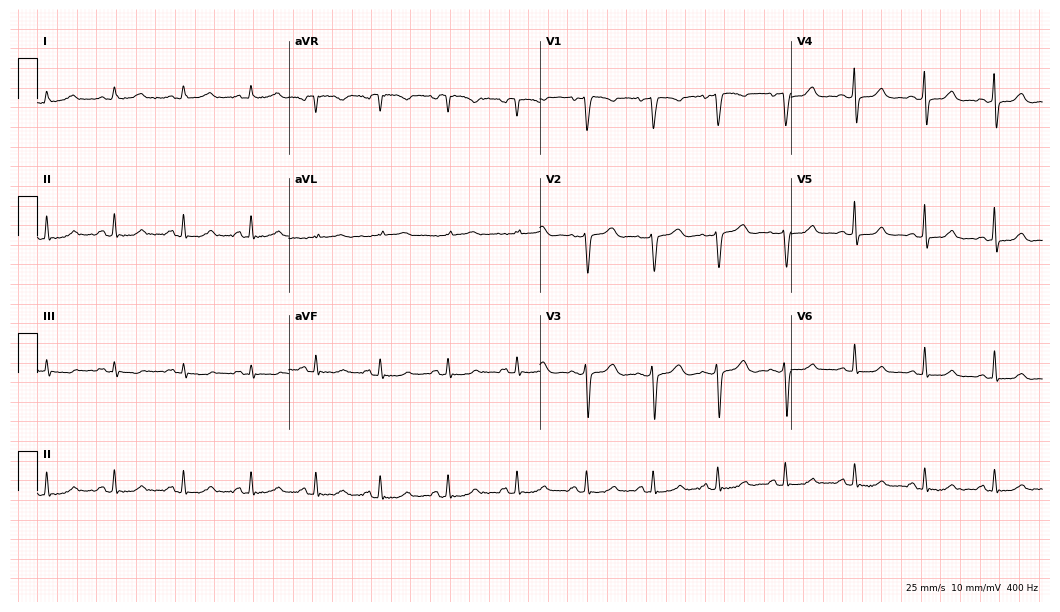
12-lead ECG from a 44-year-old female (10.2-second recording at 400 Hz). No first-degree AV block, right bundle branch block, left bundle branch block, sinus bradycardia, atrial fibrillation or sinus tachycardia recorded for this tracing. Only these six findings were labelled.